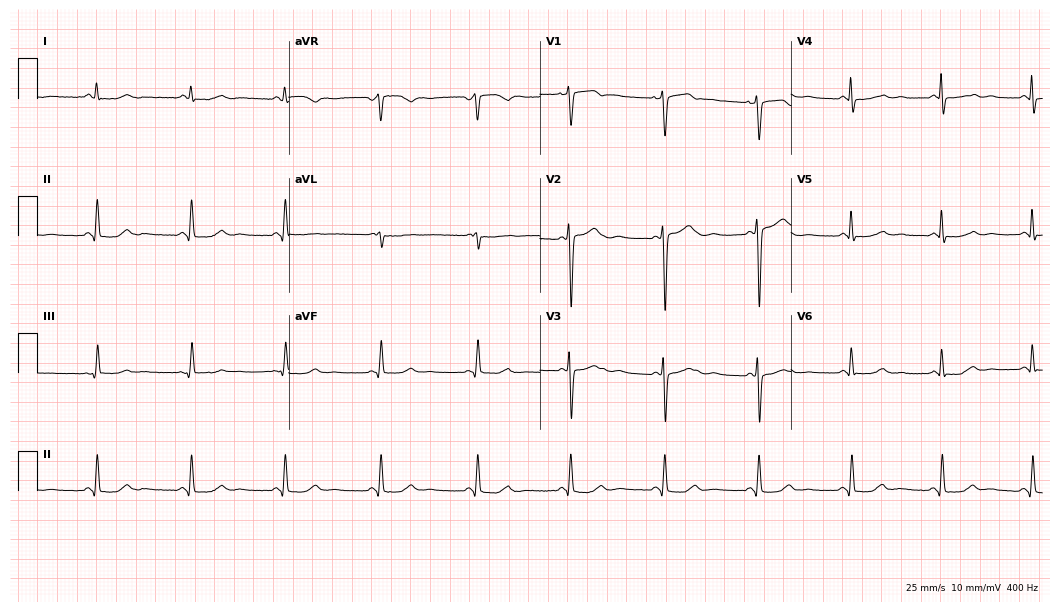
12-lead ECG from a 48-year-old female (10.2-second recording at 400 Hz). Recorded interpretation: within normal limits.